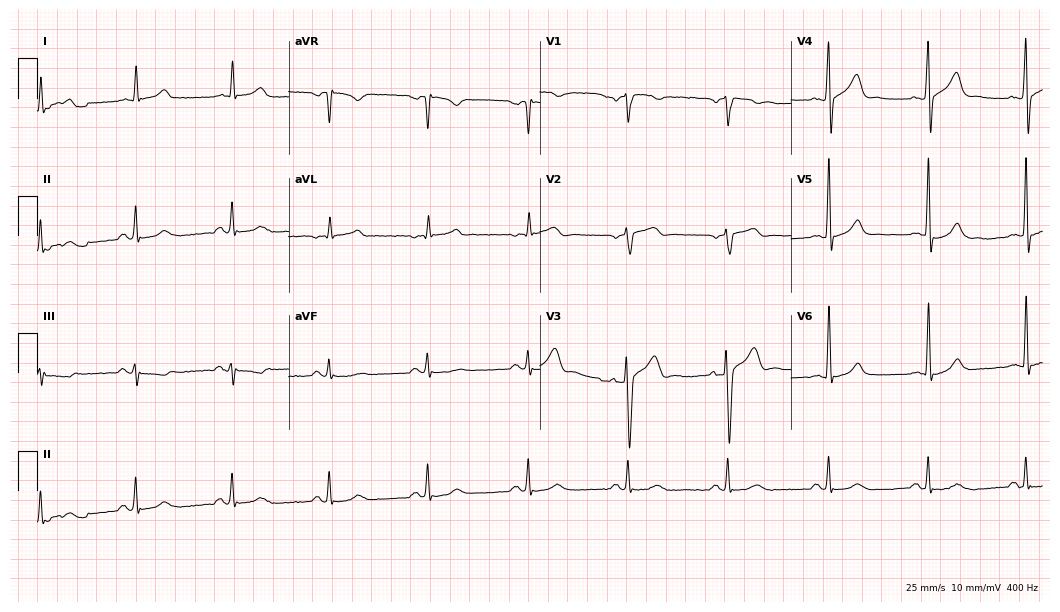
Standard 12-lead ECG recorded from a male, 64 years old (10.2-second recording at 400 Hz). Read as a normal ECG.